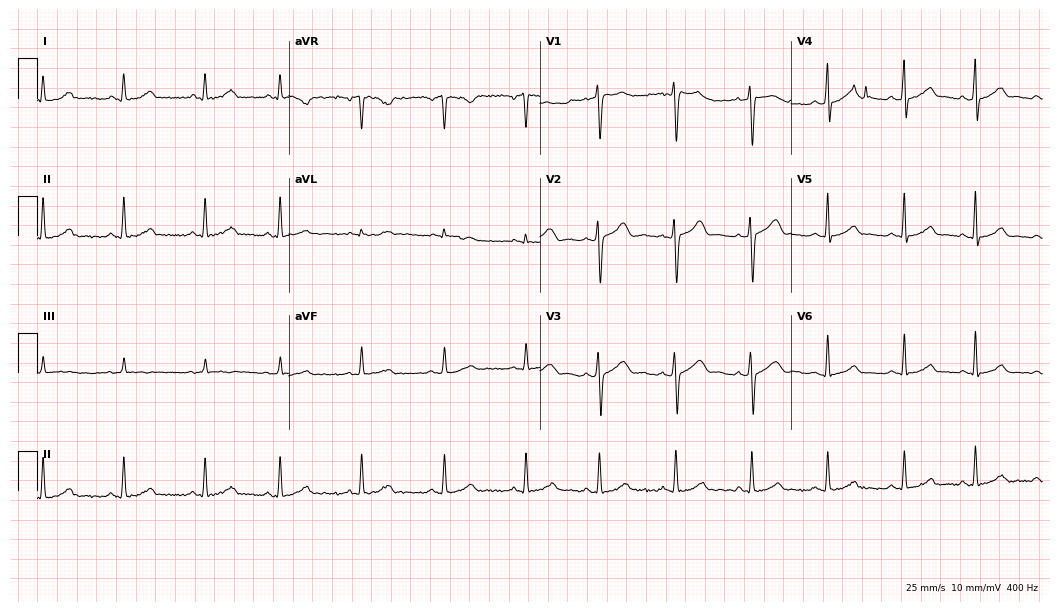
ECG (10.2-second recording at 400 Hz) — a 29-year-old female patient. Labelled as a normal ECG.